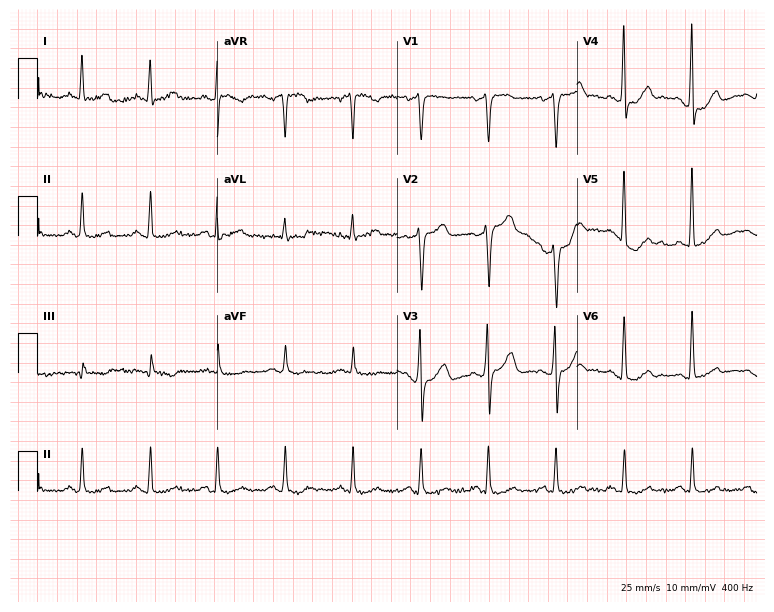
Resting 12-lead electrocardiogram. Patient: a 44-year-old female. Read as a normal ECG.